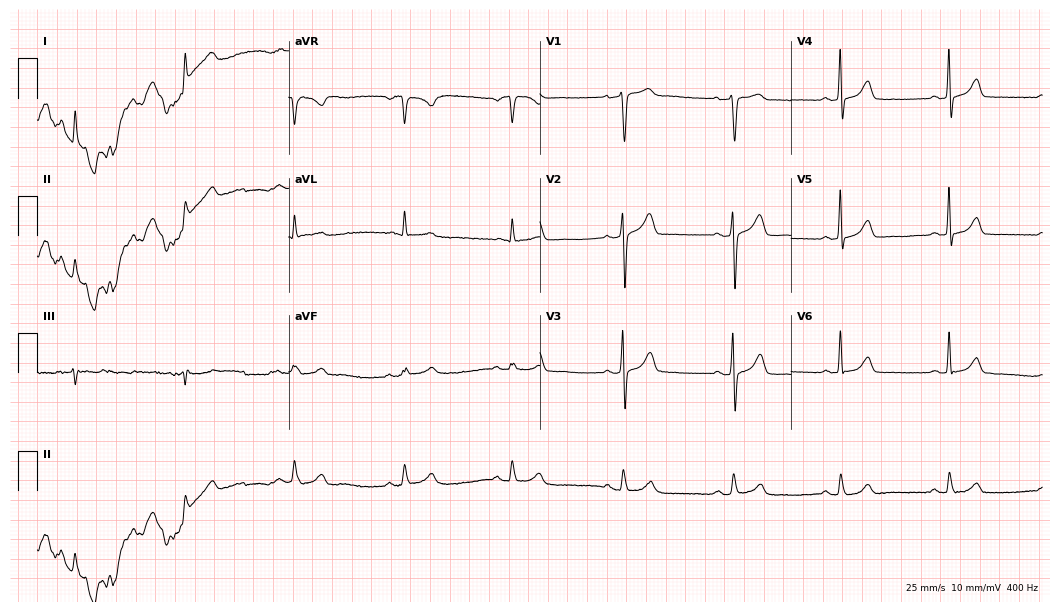
12-lead ECG (10.2-second recording at 400 Hz) from a female, 68 years old. Labelled as a normal ECG.